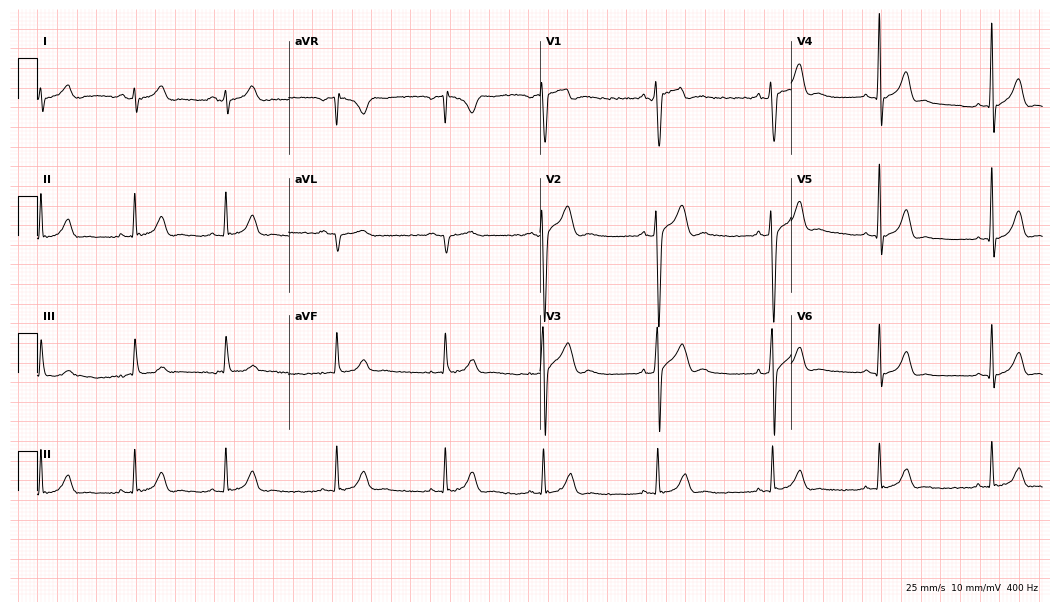
Electrocardiogram, a male patient, 29 years old. Overall reading on record: normal ECG.